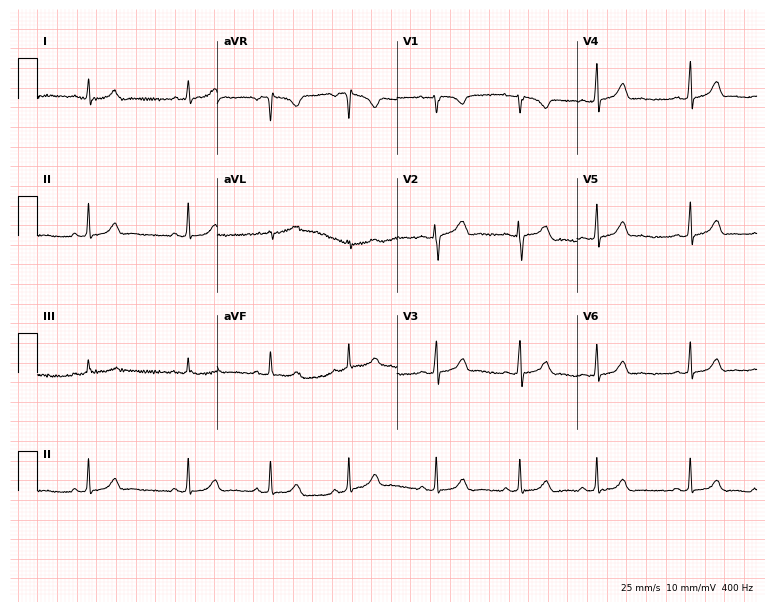
12-lead ECG (7.3-second recording at 400 Hz) from a female patient, 20 years old. Labelled as a normal ECG.